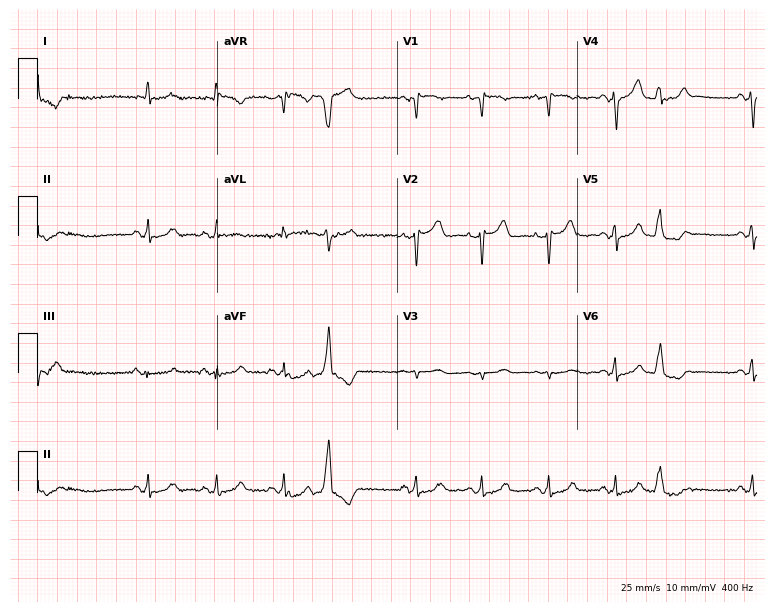
Standard 12-lead ECG recorded from a female patient, 79 years old. None of these six findings is recorded: first-degree AV block, right bundle branch block (RBBB), left bundle branch block (LBBB), sinus bradycardia, atrial fibrillation (AF), sinus tachycardia.